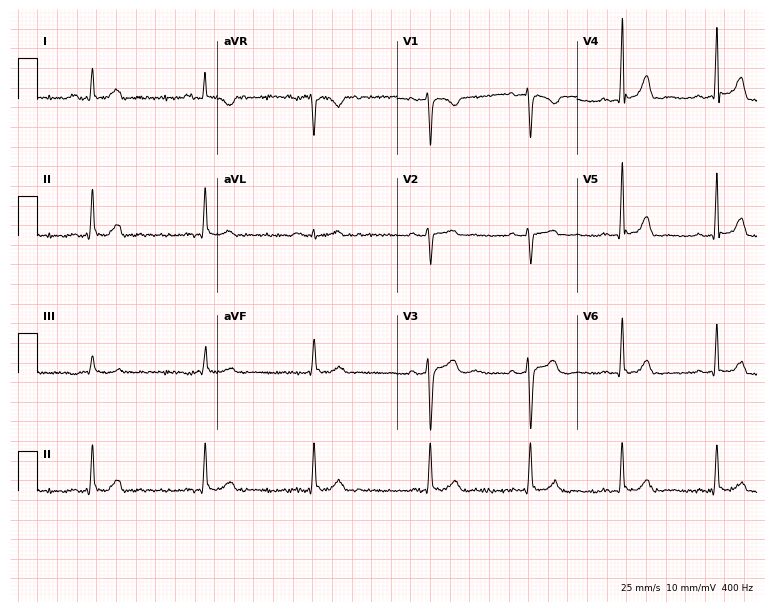
Resting 12-lead electrocardiogram. Patient: a 28-year-old female. None of these six findings is recorded: first-degree AV block, right bundle branch block, left bundle branch block, sinus bradycardia, atrial fibrillation, sinus tachycardia.